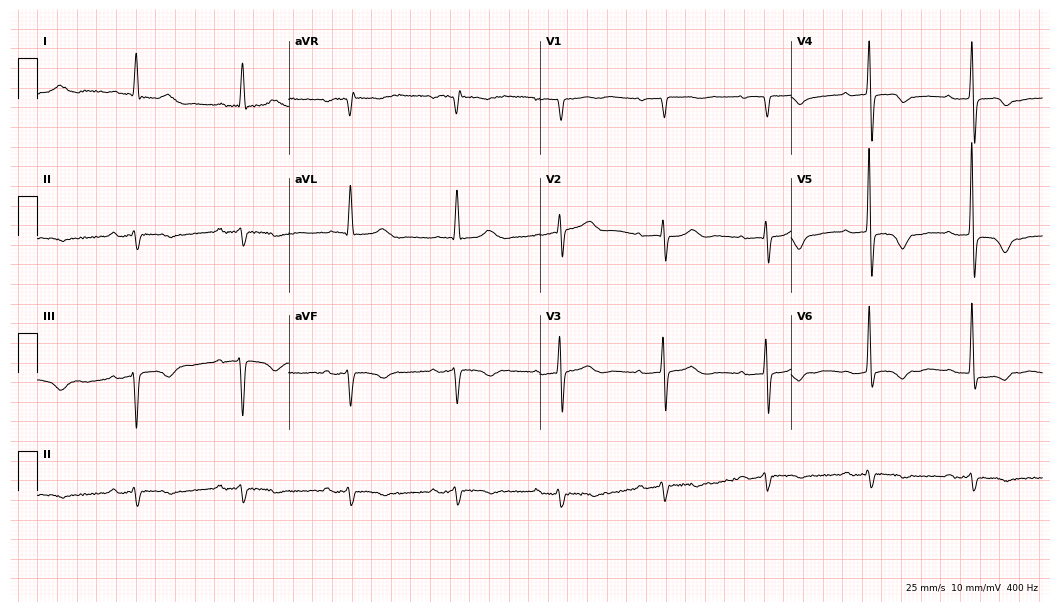
12-lead ECG (10.2-second recording at 400 Hz) from a female patient, 84 years old. Screened for six findings — first-degree AV block, right bundle branch block, left bundle branch block, sinus bradycardia, atrial fibrillation, sinus tachycardia — none is recorded.